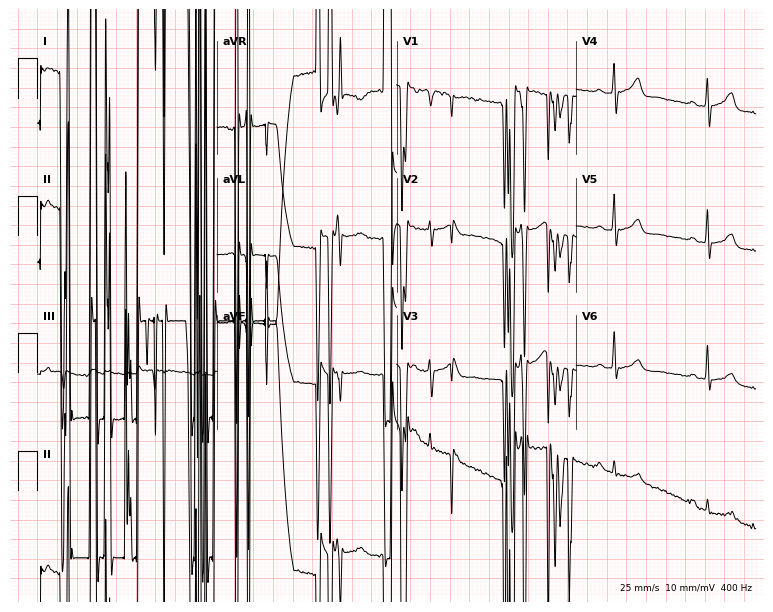
ECG (7.3-second recording at 400 Hz) — a 60-year-old male. Screened for six findings — first-degree AV block, right bundle branch block, left bundle branch block, sinus bradycardia, atrial fibrillation, sinus tachycardia — none is recorded. Other findings, if any, are not listed.